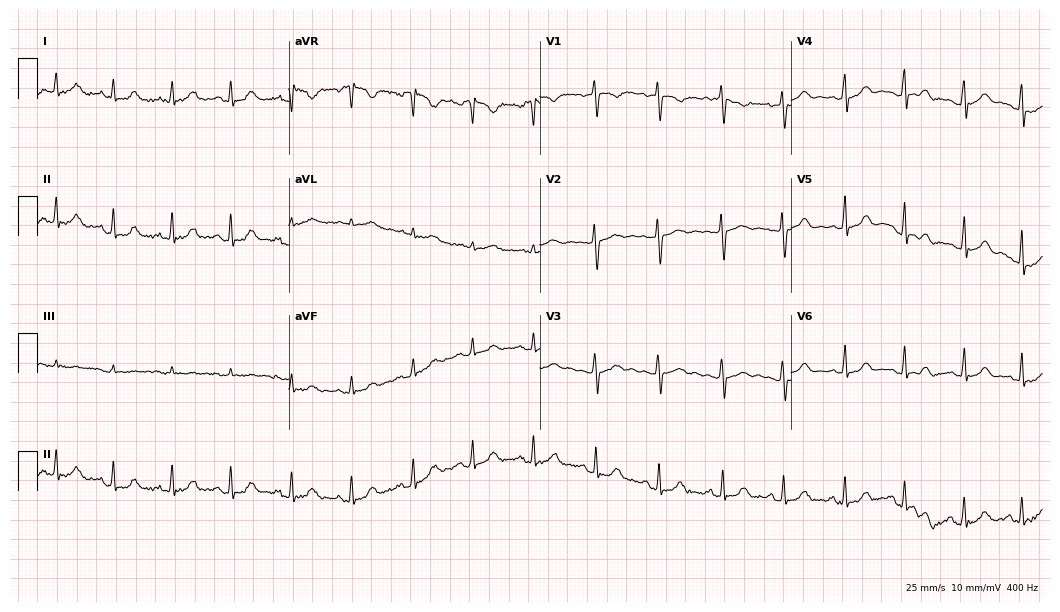
12-lead ECG from a female, 35 years old. Labelled as a normal ECG.